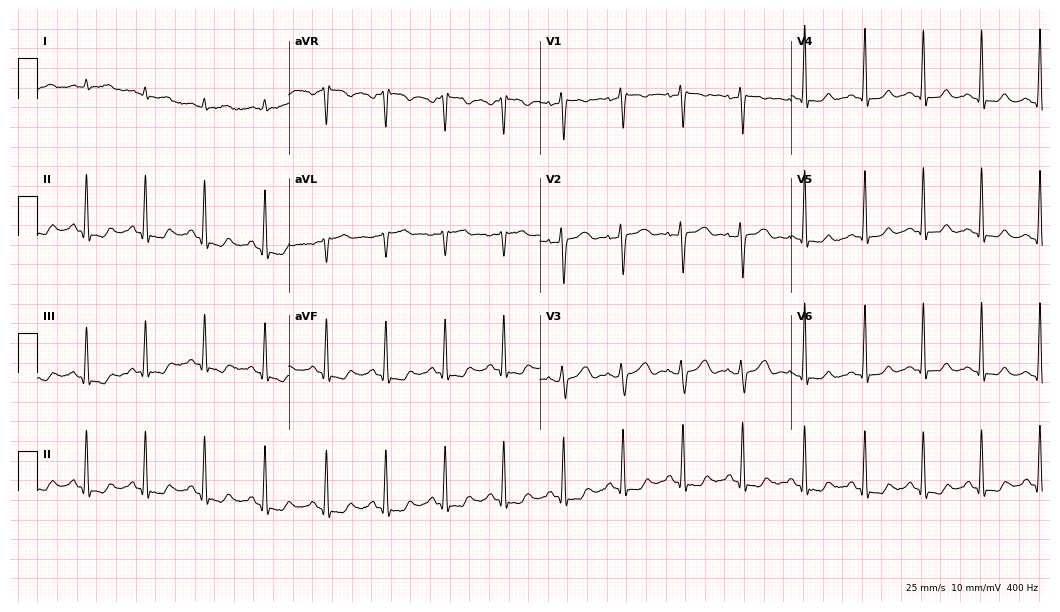
ECG — a female patient, 46 years old. Screened for six findings — first-degree AV block, right bundle branch block, left bundle branch block, sinus bradycardia, atrial fibrillation, sinus tachycardia — none is recorded.